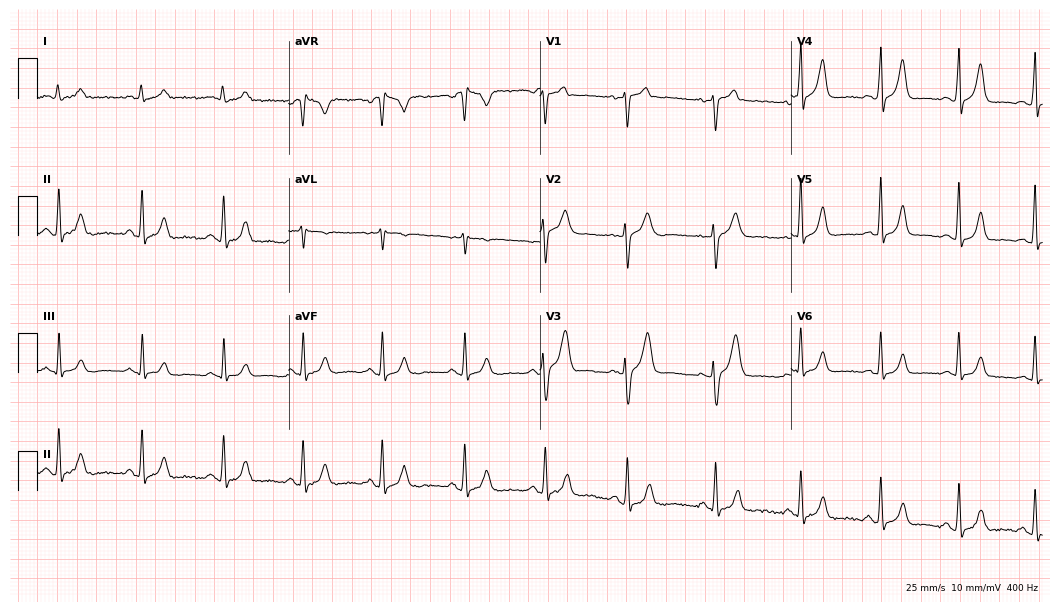
Standard 12-lead ECG recorded from a woman, 24 years old. Read as a normal ECG.